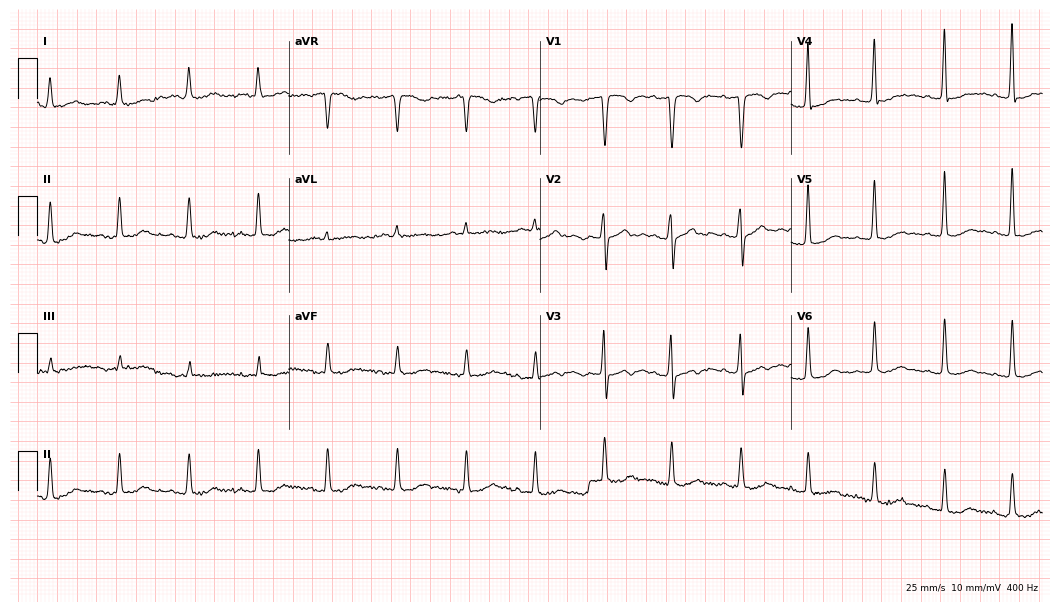
ECG — an 83-year-old woman. Screened for six findings — first-degree AV block, right bundle branch block (RBBB), left bundle branch block (LBBB), sinus bradycardia, atrial fibrillation (AF), sinus tachycardia — none is recorded.